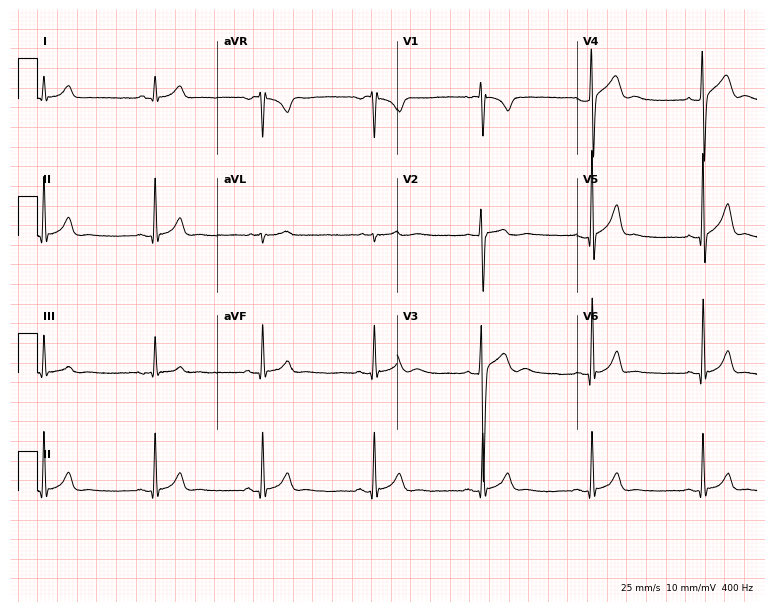
Standard 12-lead ECG recorded from a 23-year-old man (7.3-second recording at 400 Hz). Read as a normal ECG.